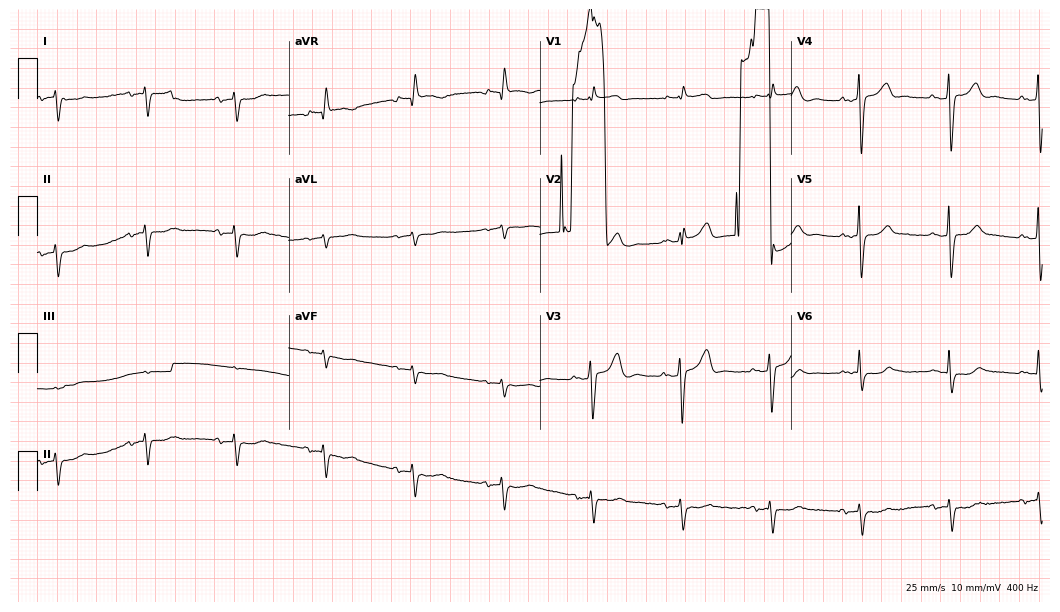
Standard 12-lead ECG recorded from a 79-year-old man. None of these six findings is recorded: first-degree AV block, right bundle branch block, left bundle branch block, sinus bradycardia, atrial fibrillation, sinus tachycardia. Findings outside these six are not listed.